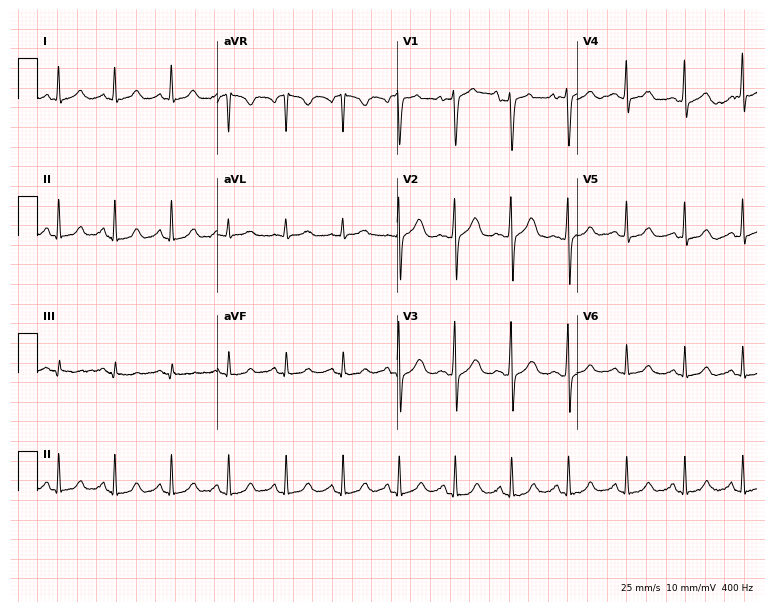
Resting 12-lead electrocardiogram. Patient: a female, 34 years old. None of these six findings is recorded: first-degree AV block, right bundle branch block, left bundle branch block, sinus bradycardia, atrial fibrillation, sinus tachycardia.